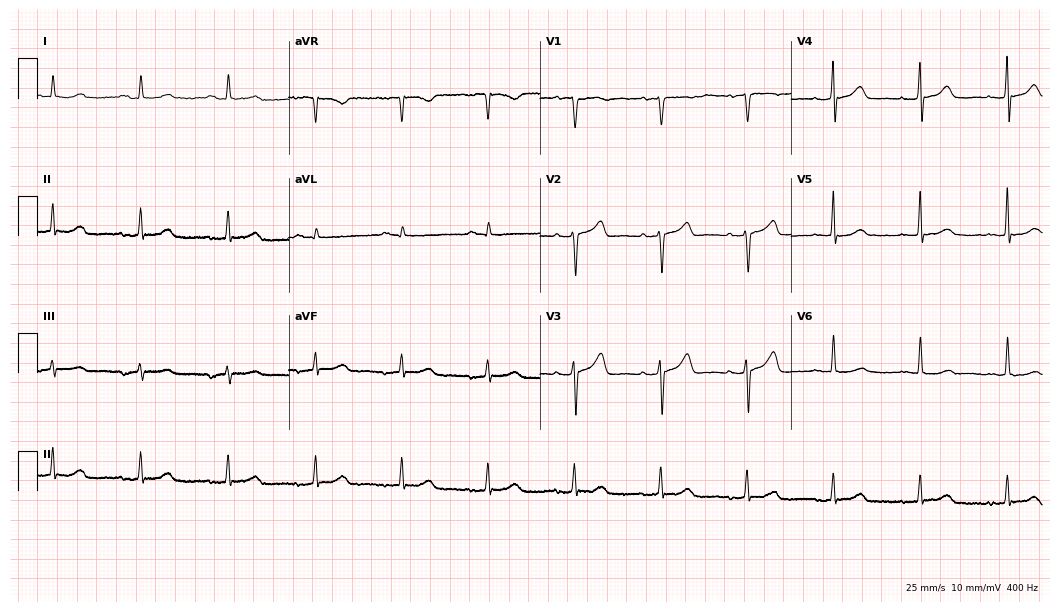
12-lead ECG from a female, 73 years old. Labelled as a normal ECG.